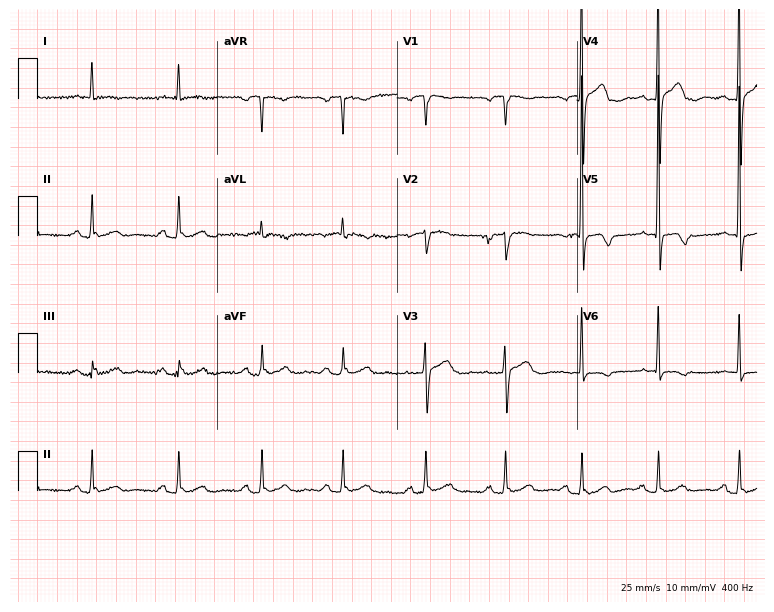
Standard 12-lead ECG recorded from an 83-year-old woman (7.3-second recording at 400 Hz). None of these six findings is recorded: first-degree AV block, right bundle branch block (RBBB), left bundle branch block (LBBB), sinus bradycardia, atrial fibrillation (AF), sinus tachycardia. Only these six findings were labelled.